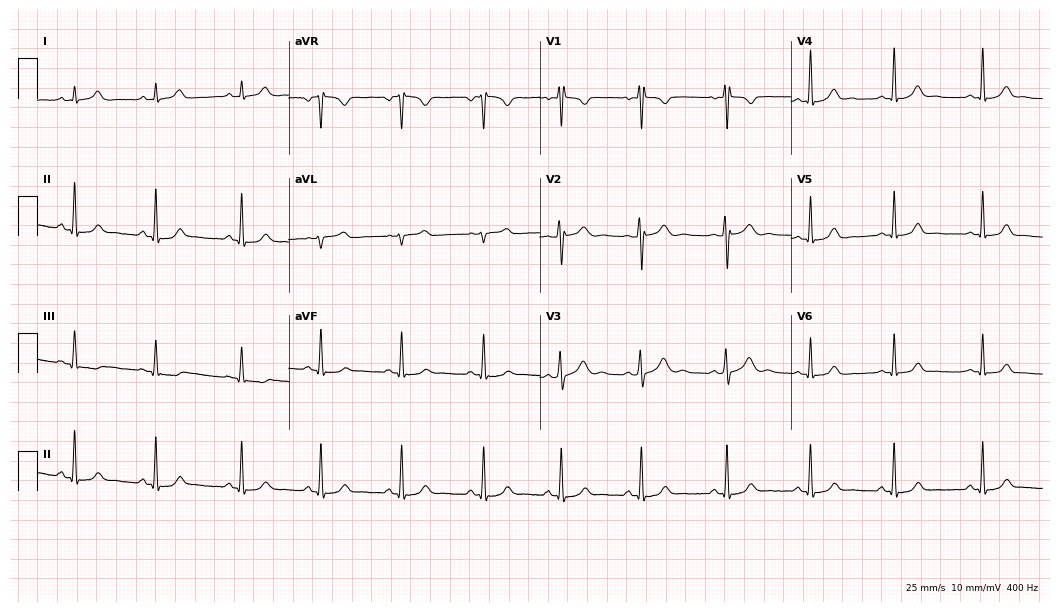
Electrocardiogram (10.2-second recording at 400 Hz), a female patient, 22 years old. Overall reading on record: normal ECG.